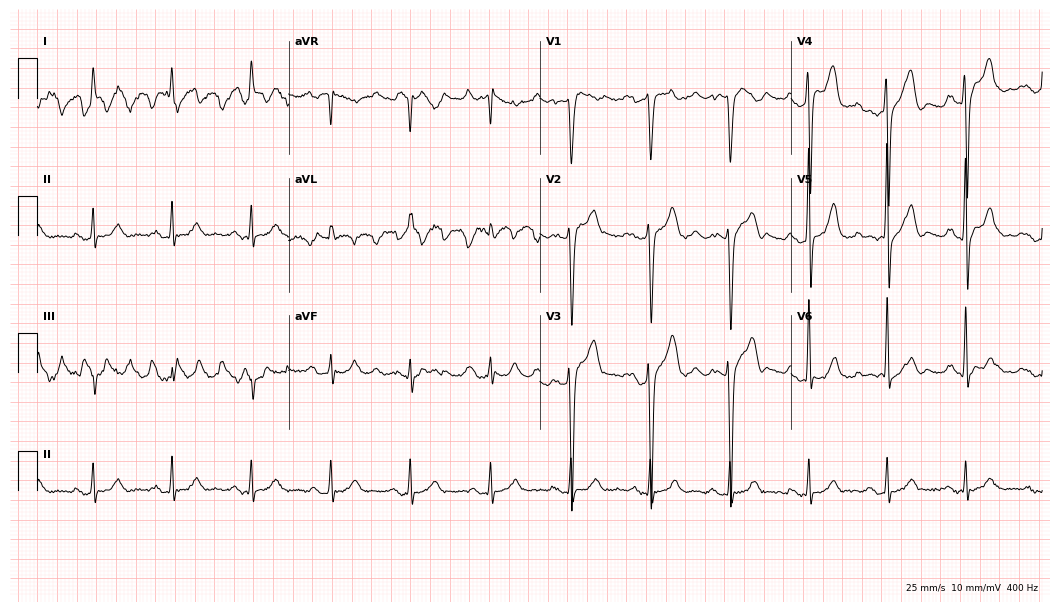
12-lead ECG from a 72-year-old man (10.2-second recording at 400 Hz). No first-degree AV block, right bundle branch block, left bundle branch block, sinus bradycardia, atrial fibrillation or sinus tachycardia recorded for this tracing. Findings outside these six are not listed.